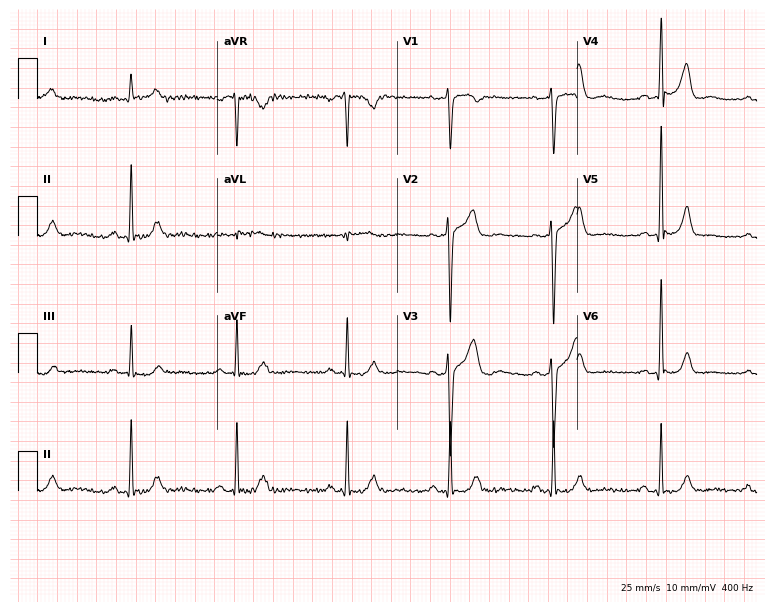
12-lead ECG from a 52-year-old man. Screened for six findings — first-degree AV block, right bundle branch block, left bundle branch block, sinus bradycardia, atrial fibrillation, sinus tachycardia — none is recorded. Findings outside these six are not listed.